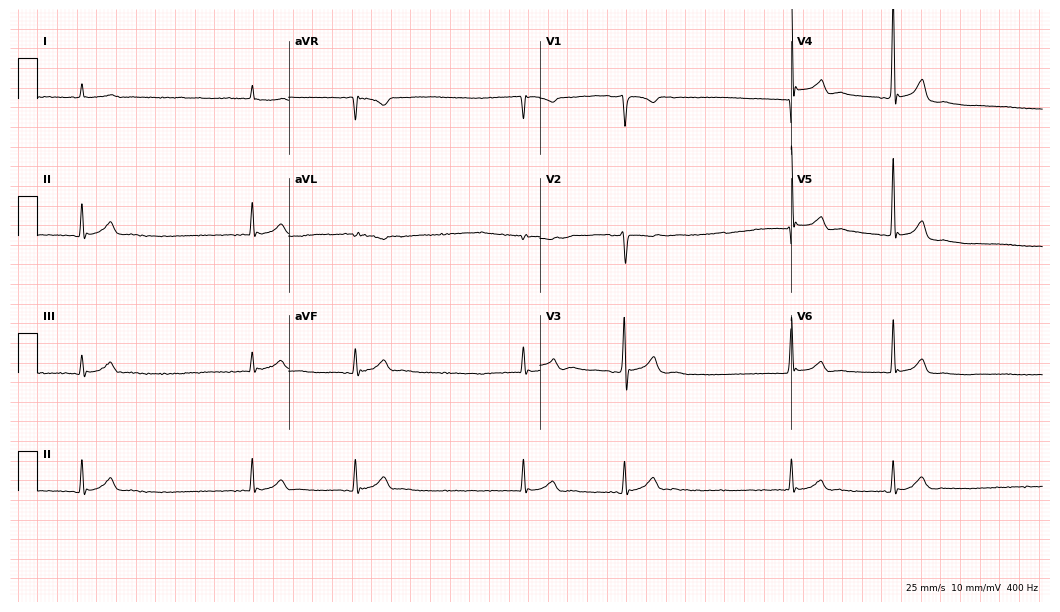
ECG — a 55-year-old man. Screened for six findings — first-degree AV block, right bundle branch block (RBBB), left bundle branch block (LBBB), sinus bradycardia, atrial fibrillation (AF), sinus tachycardia — none is recorded.